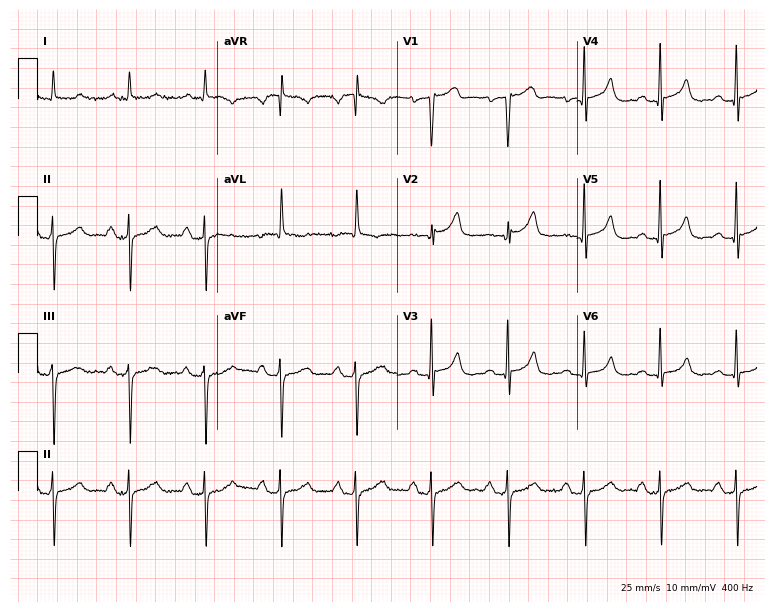
Standard 12-lead ECG recorded from a male, 79 years old (7.3-second recording at 400 Hz). None of these six findings is recorded: first-degree AV block, right bundle branch block, left bundle branch block, sinus bradycardia, atrial fibrillation, sinus tachycardia.